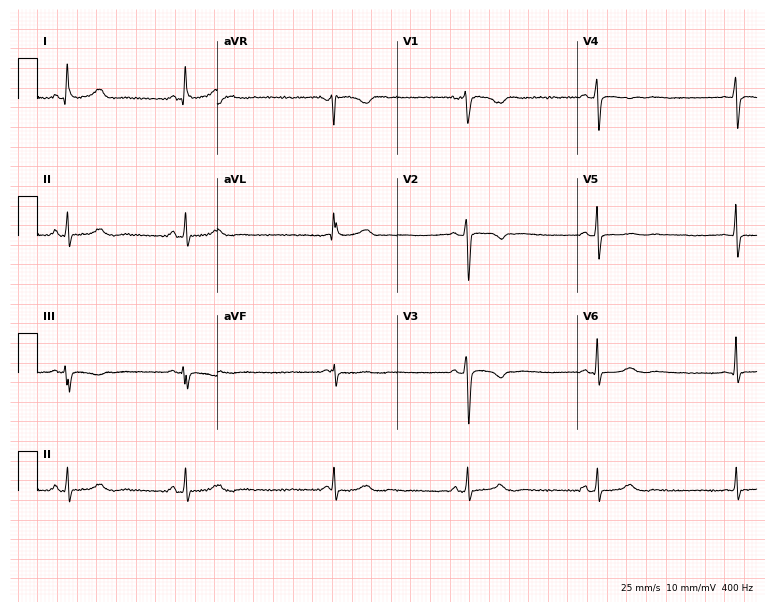
Standard 12-lead ECG recorded from a female patient, 49 years old (7.3-second recording at 400 Hz). The tracing shows sinus bradycardia (a sinus rate of 50 beats per minute or less).